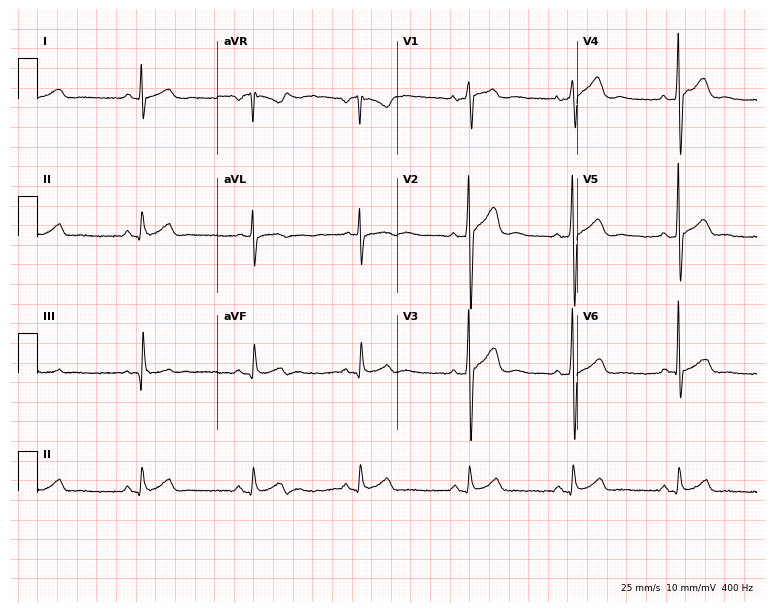
Resting 12-lead electrocardiogram (7.3-second recording at 400 Hz). Patient: a 28-year-old male. None of these six findings is recorded: first-degree AV block, right bundle branch block, left bundle branch block, sinus bradycardia, atrial fibrillation, sinus tachycardia.